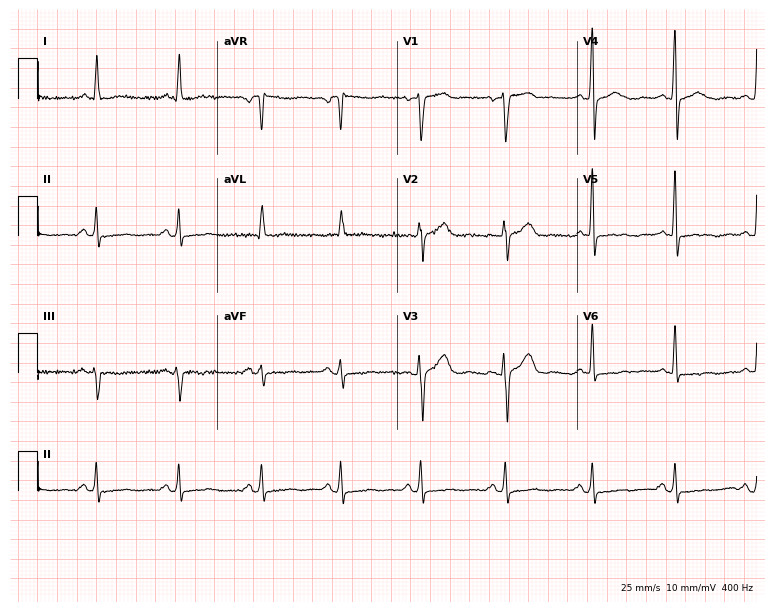
Standard 12-lead ECG recorded from a woman, 58 years old. None of these six findings is recorded: first-degree AV block, right bundle branch block, left bundle branch block, sinus bradycardia, atrial fibrillation, sinus tachycardia. Only these six findings were labelled.